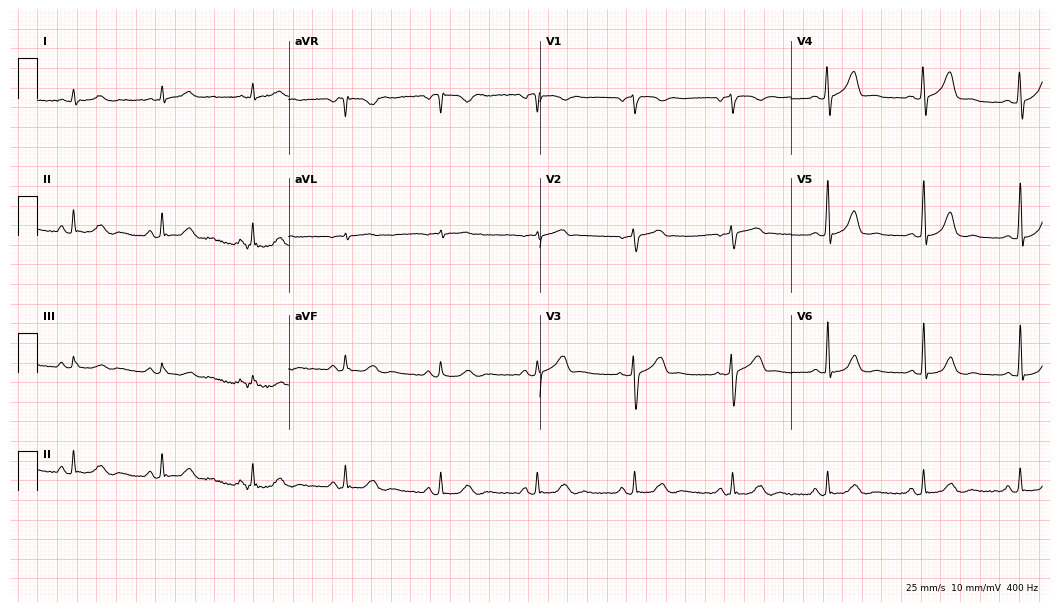
ECG — a 63-year-old male. Labelled as a normal ECG.